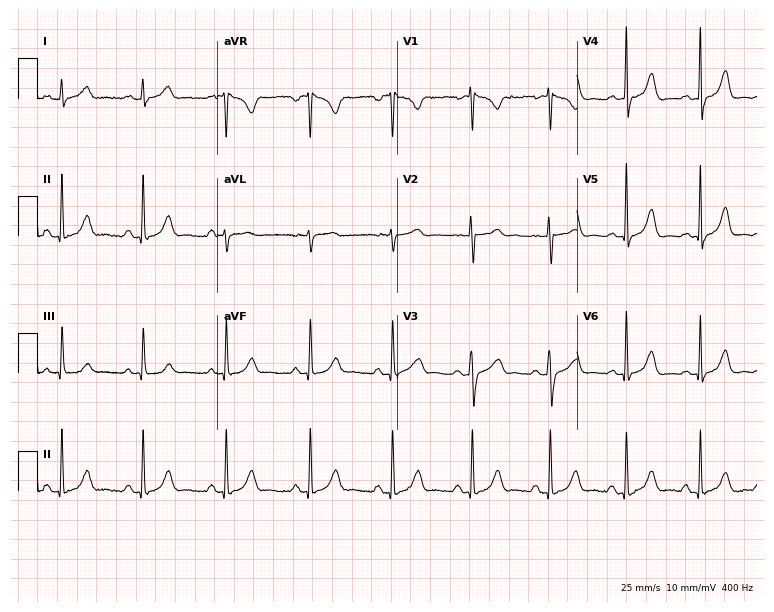
Standard 12-lead ECG recorded from a 36-year-old female (7.3-second recording at 400 Hz). Read as a normal ECG.